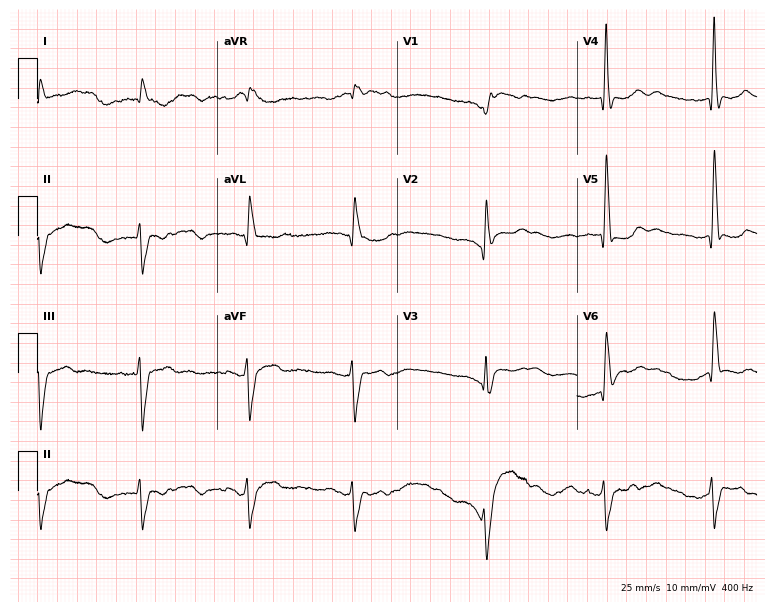
12-lead ECG from a woman, 83 years old (7.3-second recording at 400 Hz). No first-degree AV block, right bundle branch block (RBBB), left bundle branch block (LBBB), sinus bradycardia, atrial fibrillation (AF) or sinus tachycardia recorded for this tracing.